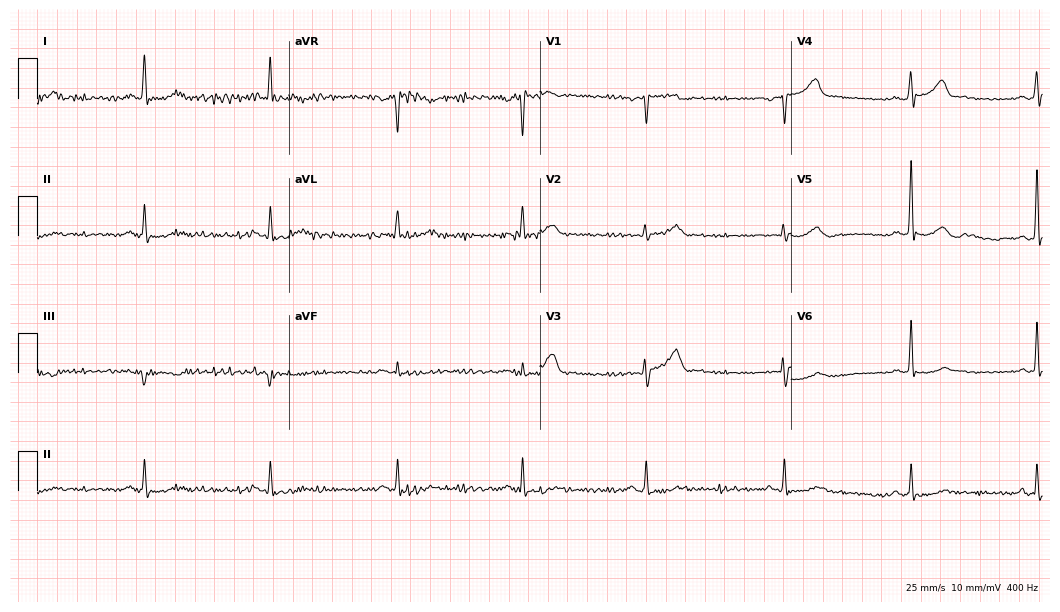
Resting 12-lead electrocardiogram (10.2-second recording at 400 Hz). Patient: a male, 67 years old. The tracing shows sinus bradycardia (a sinus rate of 50 beats per minute or less).